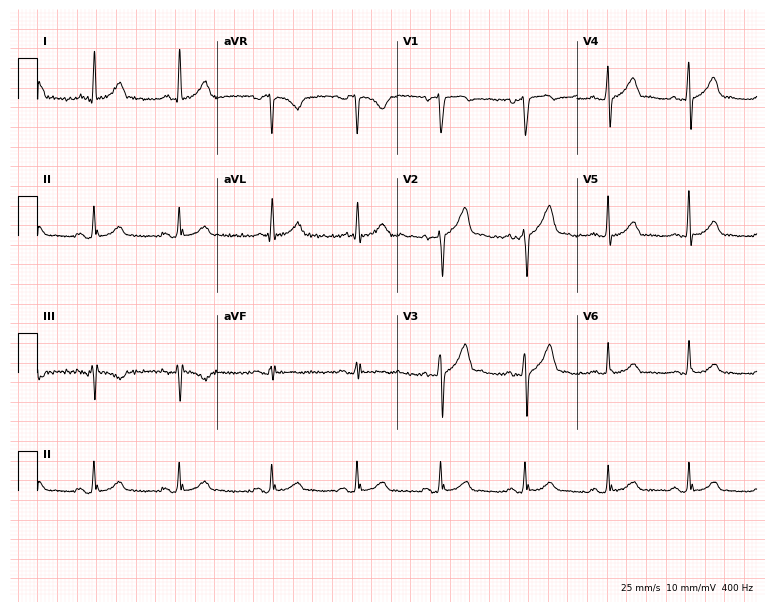
12-lead ECG from a male patient, 34 years old. Labelled as a normal ECG.